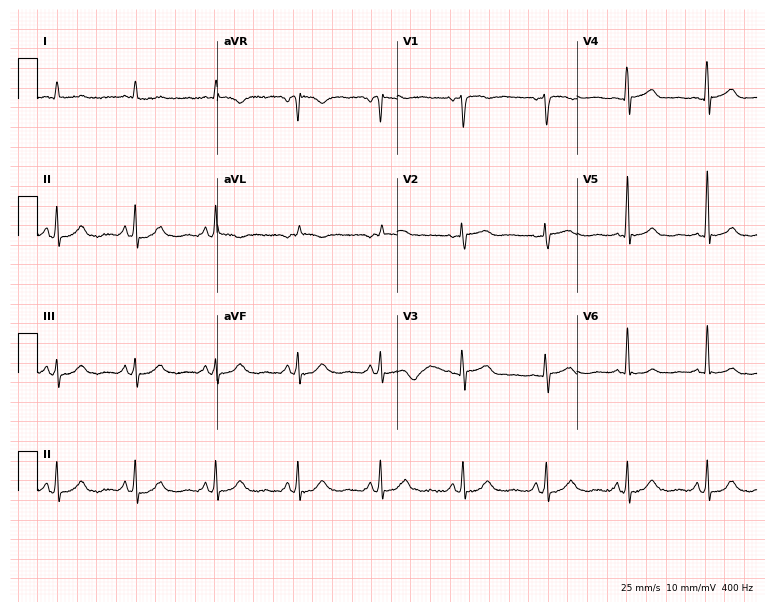
Standard 12-lead ECG recorded from a 75-year-old male. Read as a normal ECG.